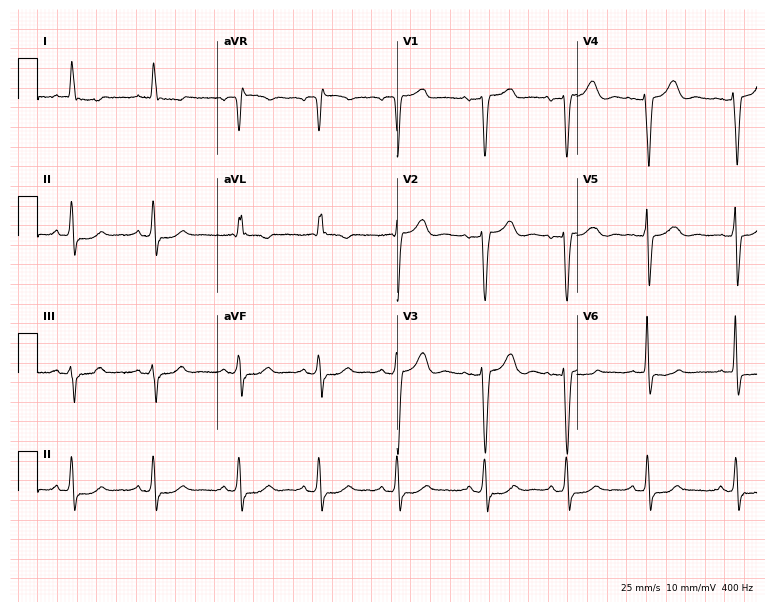
12-lead ECG from a 73-year-old female patient. No first-degree AV block, right bundle branch block, left bundle branch block, sinus bradycardia, atrial fibrillation or sinus tachycardia recorded for this tracing.